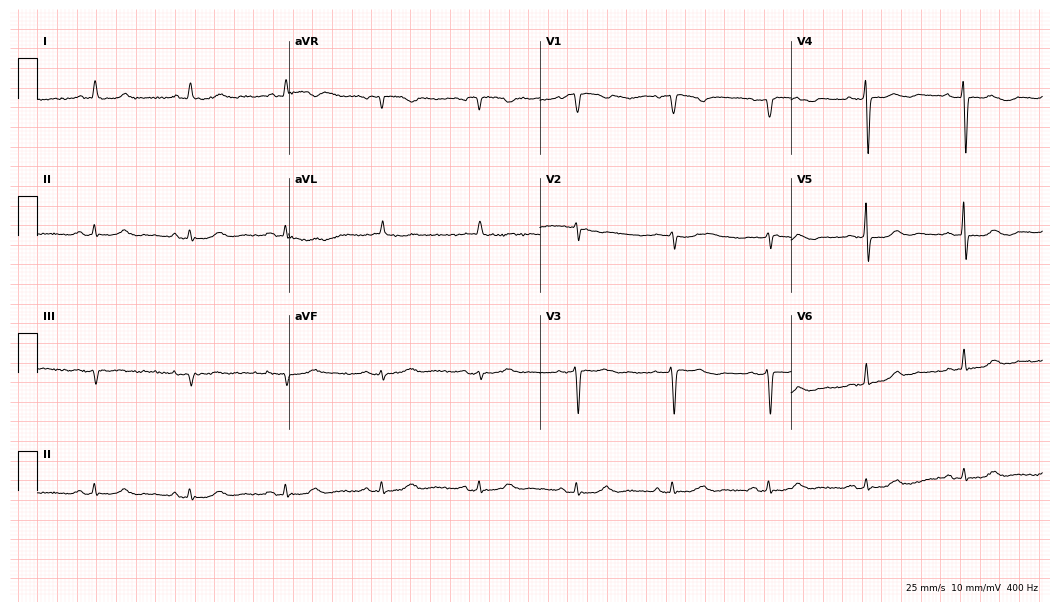
12-lead ECG from an 80-year-old woman. Labelled as a normal ECG.